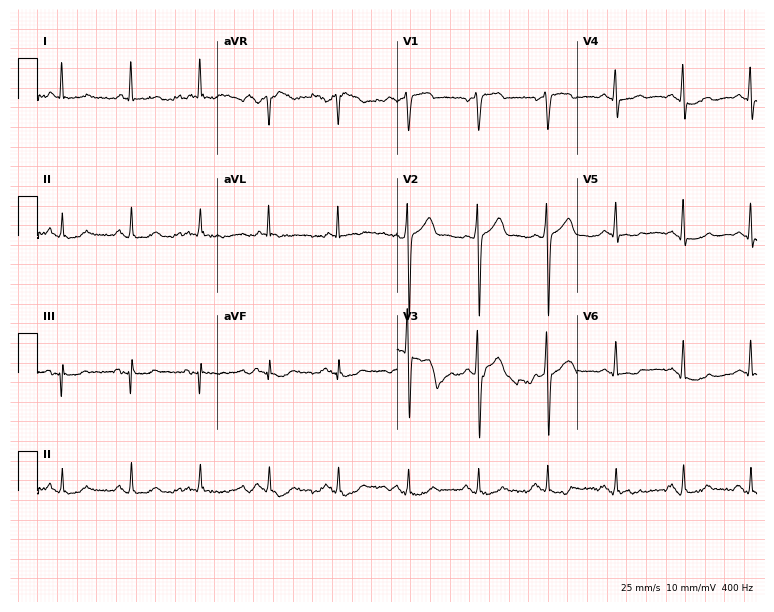
Resting 12-lead electrocardiogram (7.3-second recording at 400 Hz). Patient: a 77-year-old male. None of these six findings is recorded: first-degree AV block, right bundle branch block (RBBB), left bundle branch block (LBBB), sinus bradycardia, atrial fibrillation (AF), sinus tachycardia.